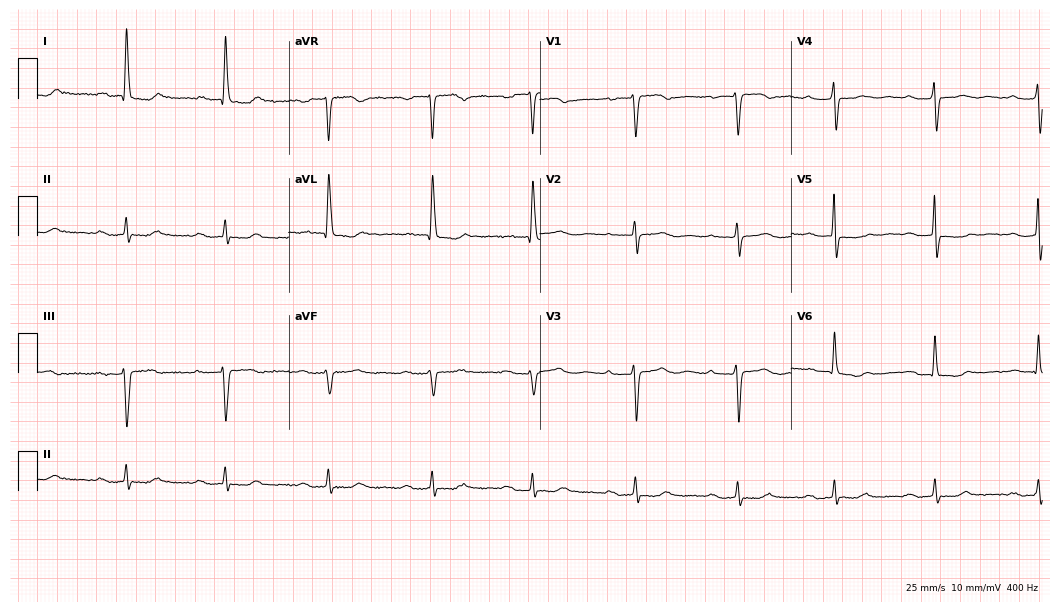
ECG (10.2-second recording at 400 Hz) — a female, 85 years old. Findings include first-degree AV block.